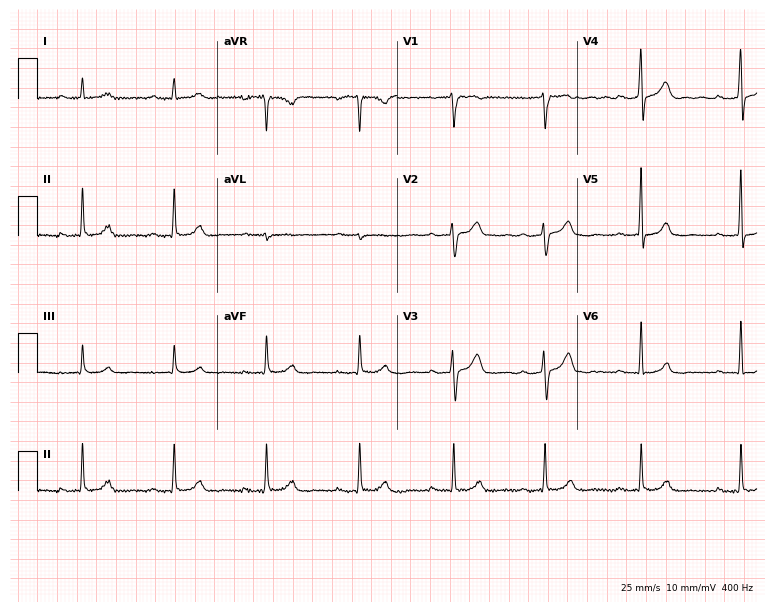
12-lead ECG from a 51-year-old female patient. Recorded interpretation: within normal limits.